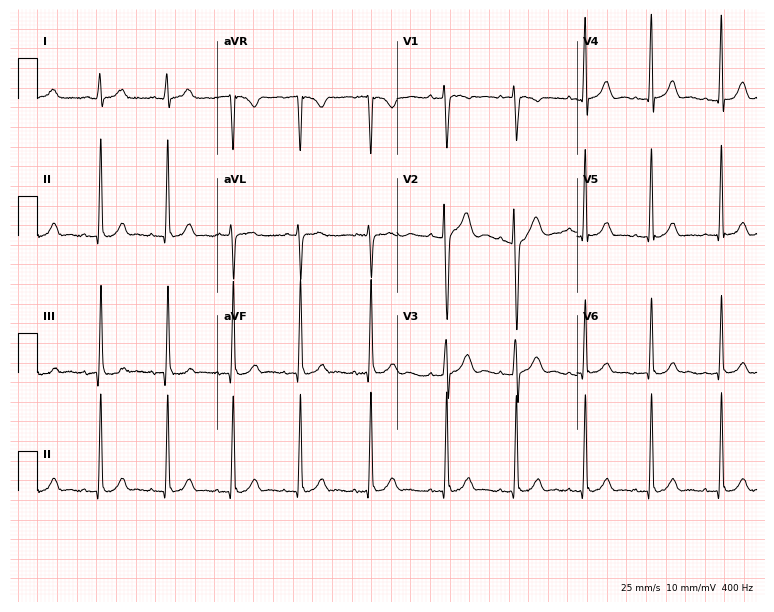
Electrocardiogram (7.3-second recording at 400 Hz), a female, 28 years old. Overall reading on record: normal ECG.